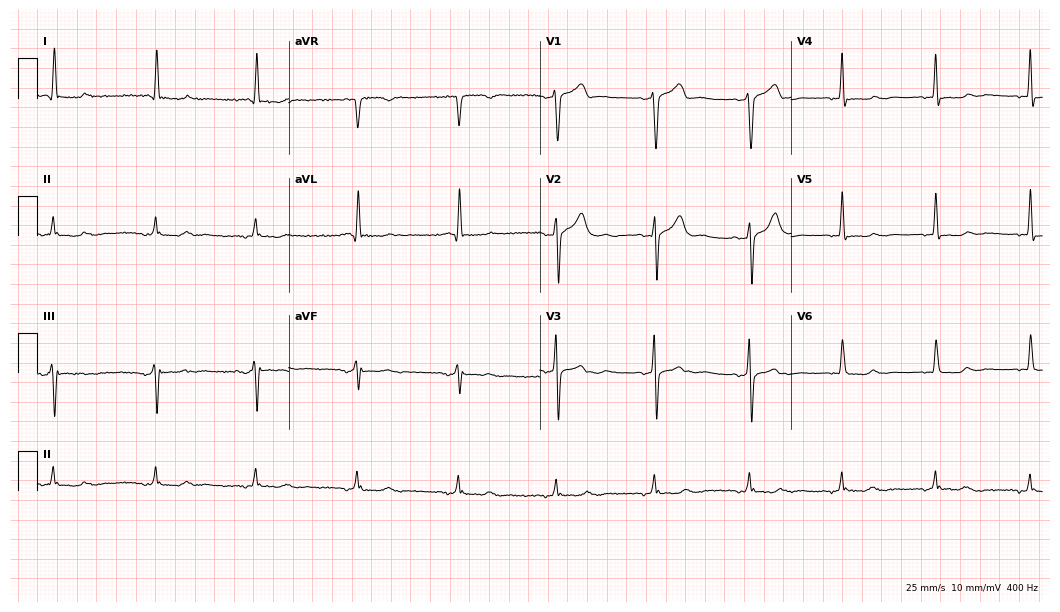
ECG — a male patient, 79 years old. Screened for six findings — first-degree AV block, right bundle branch block (RBBB), left bundle branch block (LBBB), sinus bradycardia, atrial fibrillation (AF), sinus tachycardia — none is recorded. Findings outside these six are not listed.